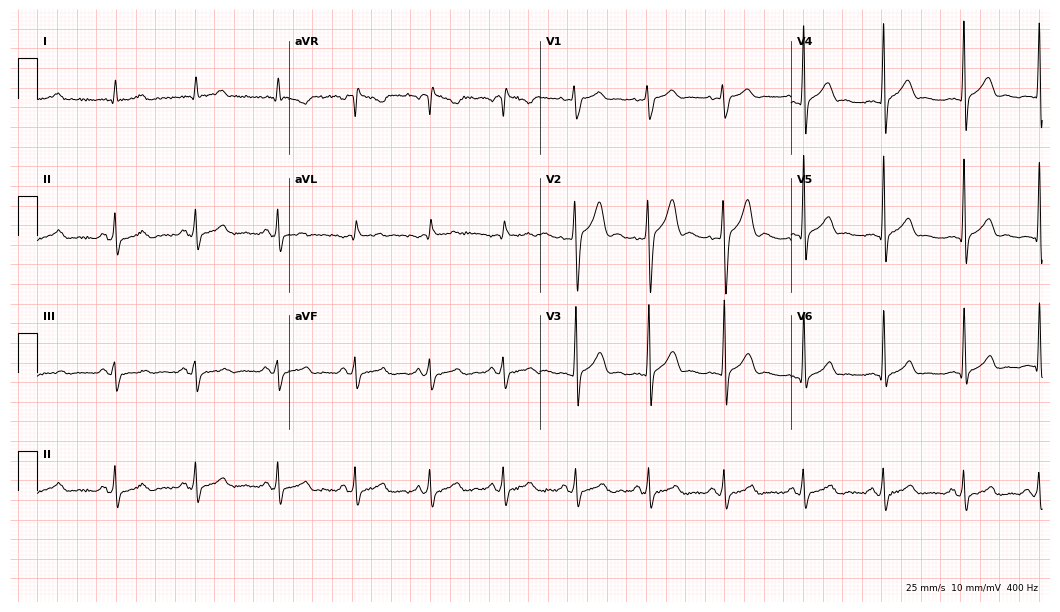
Electrocardiogram, a 21-year-old male. Overall reading on record: normal ECG.